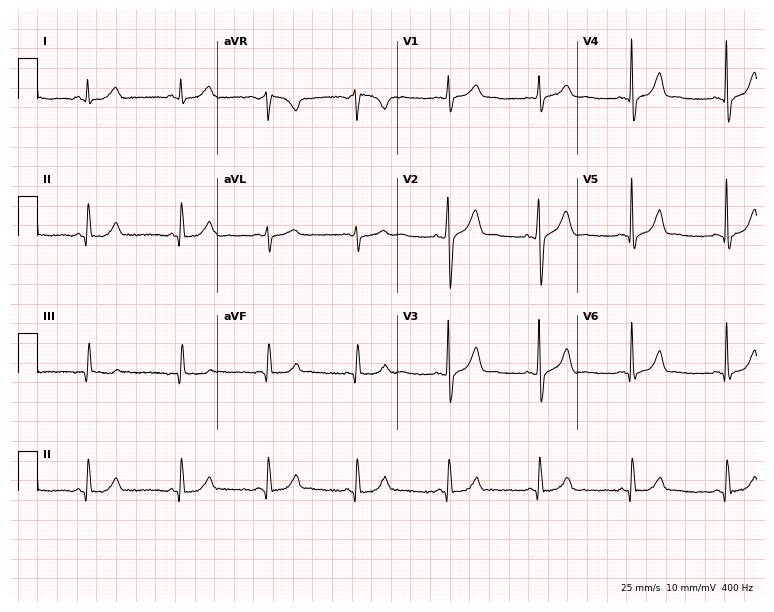
12-lead ECG from a 40-year-old man. Screened for six findings — first-degree AV block, right bundle branch block, left bundle branch block, sinus bradycardia, atrial fibrillation, sinus tachycardia — none is recorded. Only these six findings were labelled.